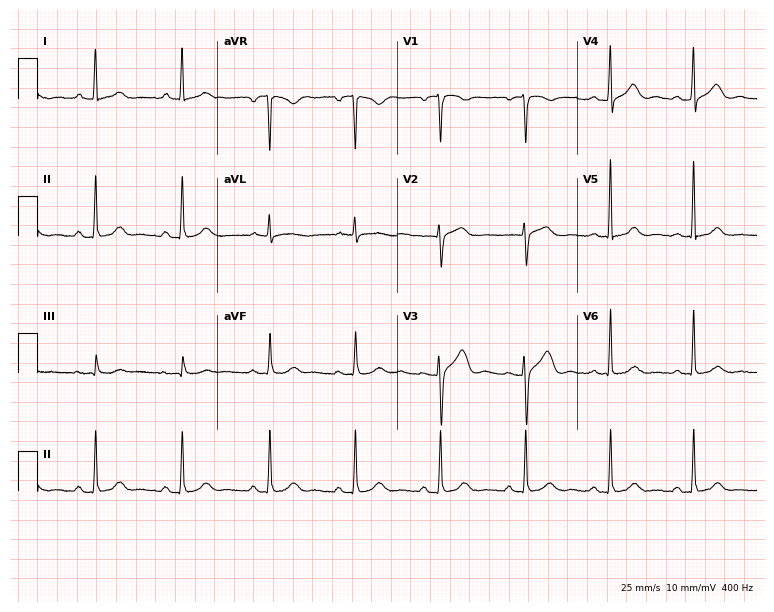
ECG (7.3-second recording at 400 Hz) — a 19-year-old female patient. Screened for six findings — first-degree AV block, right bundle branch block (RBBB), left bundle branch block (LBBB), sinus bradycardia, atrial fibrillation (AF), sinus tachycardia — none is recorded. Only these six findings were labelled.